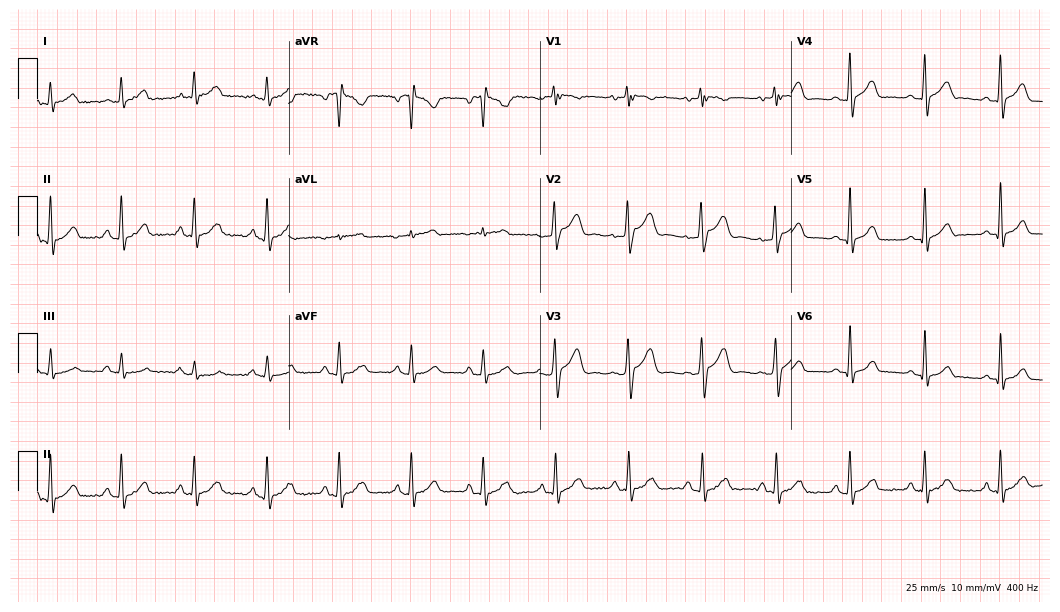
Standard 12-lead ECG recorded from a male, 27 years old (10.2-second recording at 400 Hz). None of these six findings is recorded: first-degree AV block, right bundle branch block, left bundle branch block, sinus bradycardia, atrial fibrillation, sinus tachycardia.